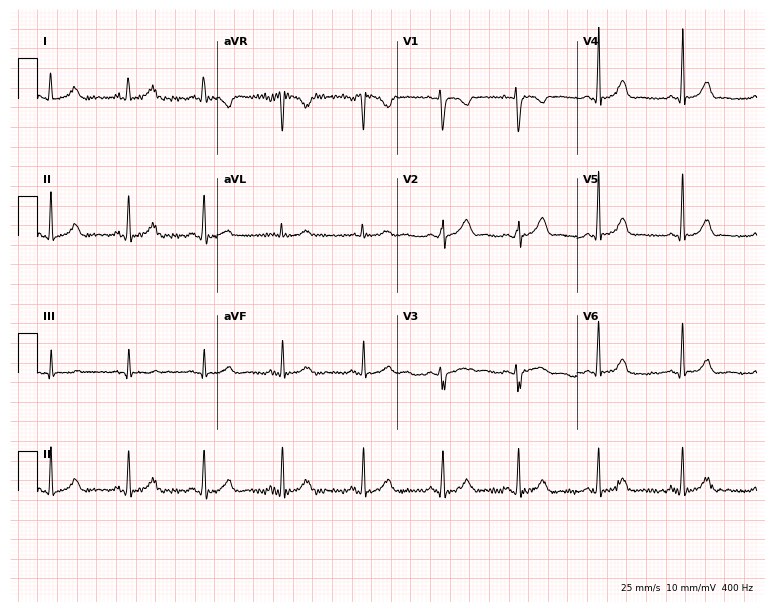
ECG (7.3-second recording at 400 Hz) — a female, 23 years old. Labelled as a normal ECG.